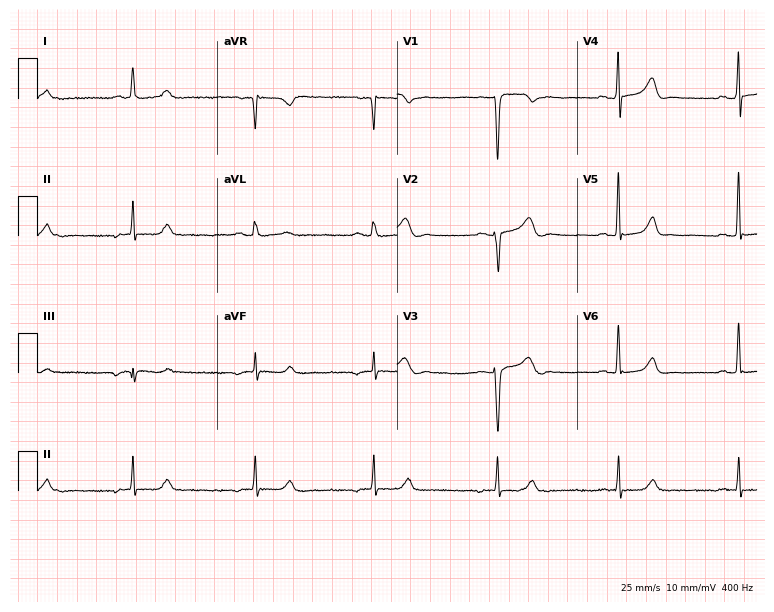
Standard 12-lead ECG recorded from a 49-year-old female patient (7.3-second recording at 400 Hz). None of these six findings is recorded: first-degree AV block, right bundle branch block, left bundle branch block, sinus bradycardia, atrial fibrillation, sinus tachycardia. Only these six findings were labelled.